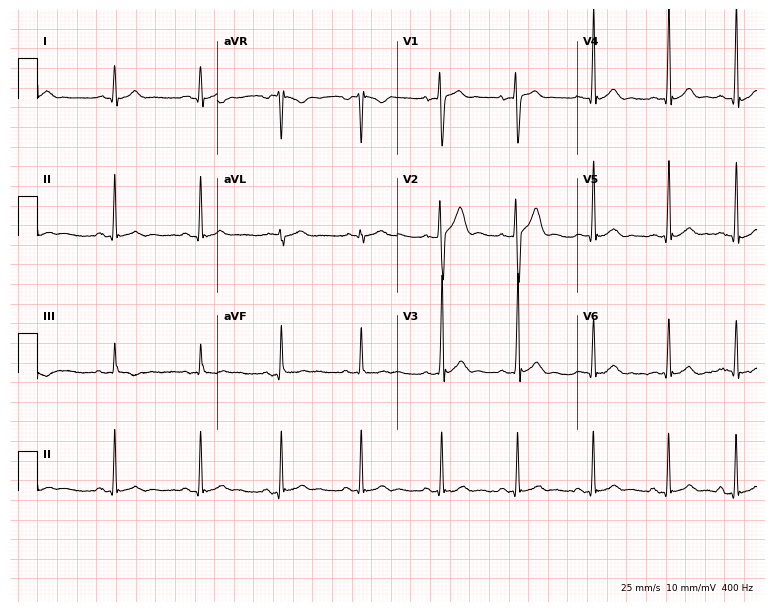
12-lead ECG (7.3-second recording at 400 Hz) from a 20-year-old man. Labelled as a normal ECG.